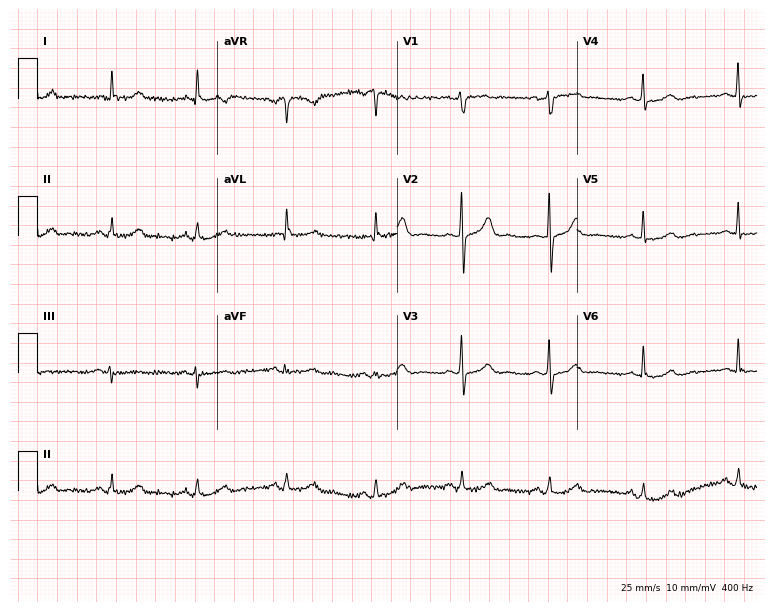
Resting 12-lead electrocardiogram (7.3-second recording at 400 Hz). Patient: a female, 59 years old. None of these six findings is recorded: first-degree AV block, right bundle branch block (RBBB), left bundle branch block (LBBB), sinus bradycardia, atrial fibrillation (AF), sinus tachycardia.